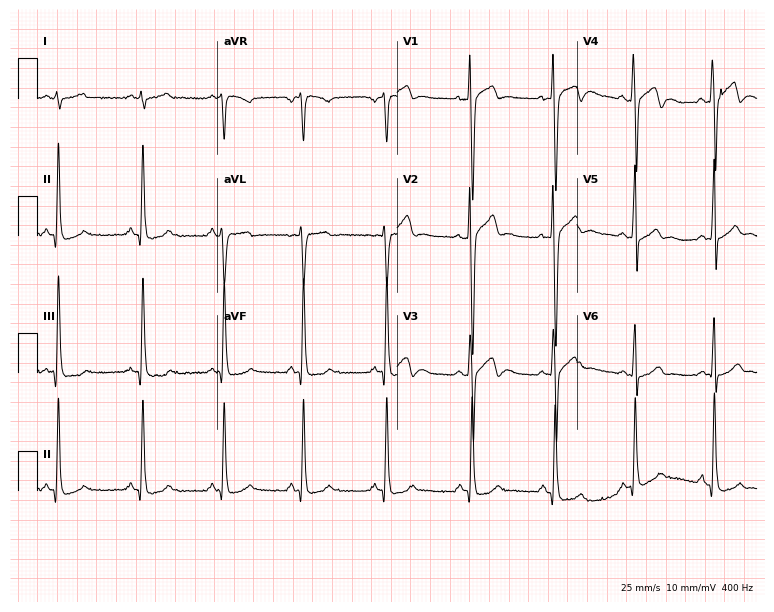
12-lead ECG from a male, 17 years old. Recorded interpretation: within normal limits.